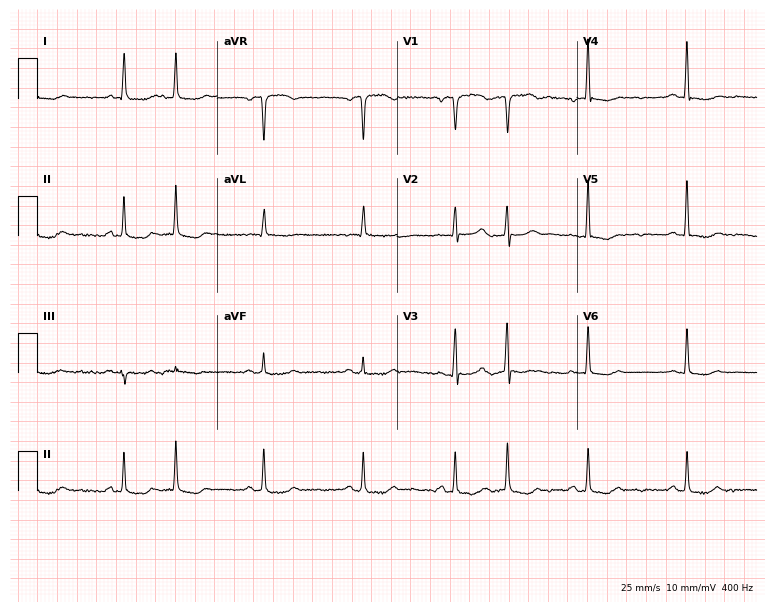
Electrocardiogram (7.3-second recording at 400 Hz), a woman, 83 years old. Of the six screened findings (first-degree AV block, right bundle branch block, left bundle branch block, sinus bradycardia, atrial fibrillation, sinus tachycardia), none is recorded.